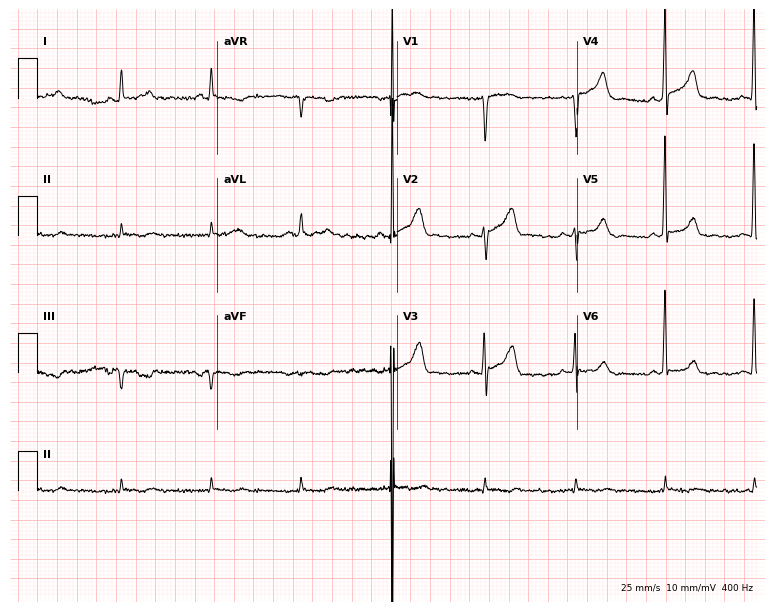
ECG — a 67-year-old male. Screened for six findings — first-degree AV block, right bundle branch block, left bundle branch block, sinus bradycardia, atrial fibrillation, sinus tachycardia — none is recorded.